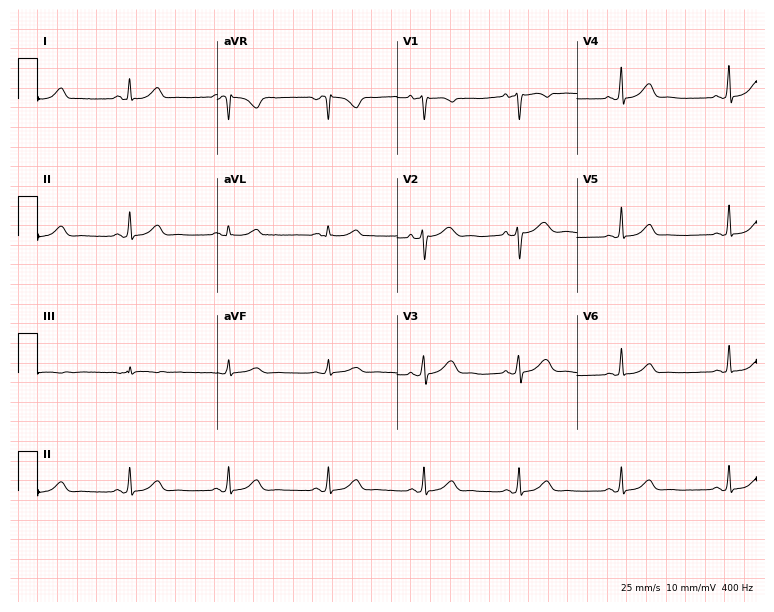
Standard 12-lead ECG recorded from a 44-year-old woman (7.3-second recording at 400 Hz). None of these six findings is recorded: first-degree AV block, right bundle branch block (RBBB), left bundle branch block (LBBB), sinus bradycardia, atrial fibrillation (AF), sinus tachycardia. Findings outside these six are not listed.